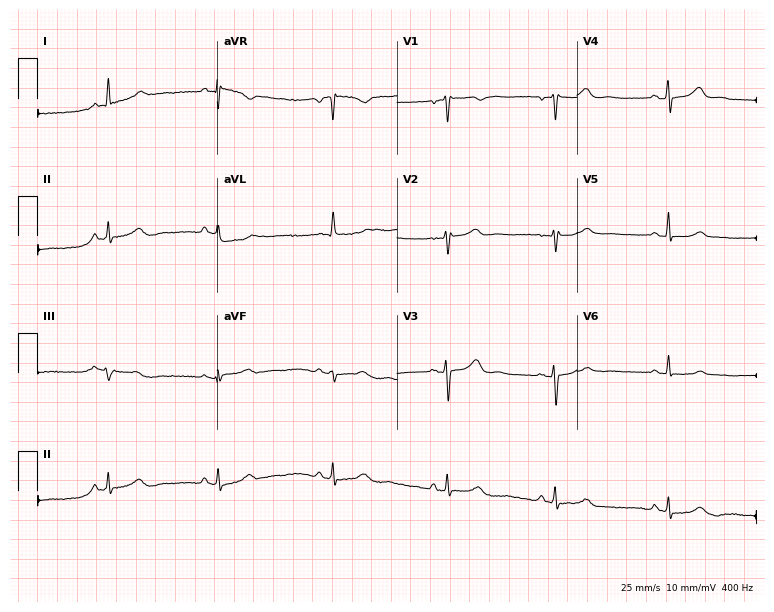
Electrocardiogram, a 48-year-old female. Of the six screened findings (first-degree AV block, right bundle branch block, left bundle branch block, sinus bradycardia, atrial fibrillation, sinus tachycardia), none is recorded.